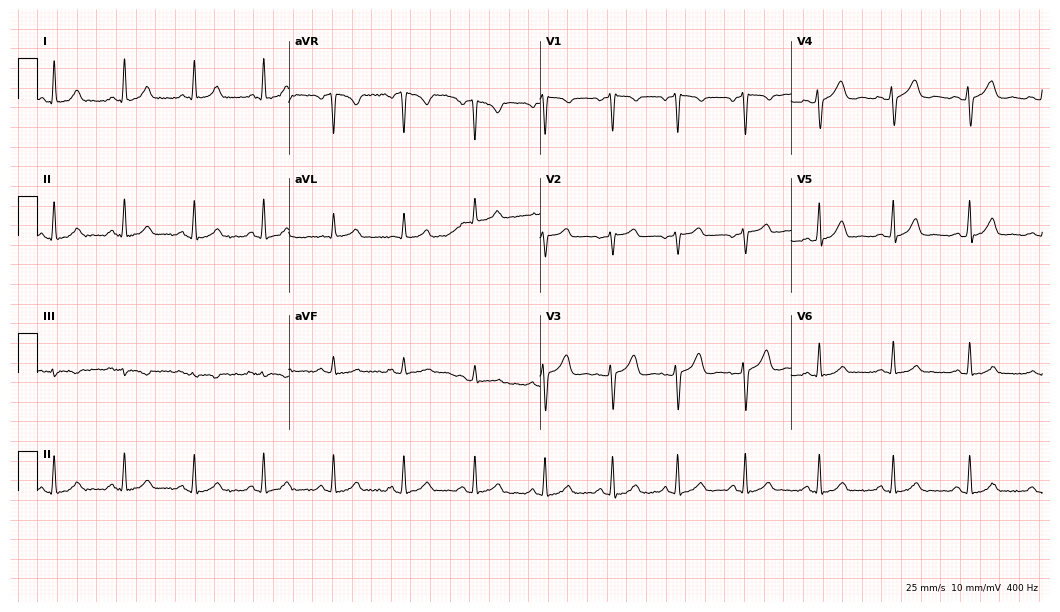
12-lead ECG from a 23-year-old female. Recorded interpretation: within normal limits.